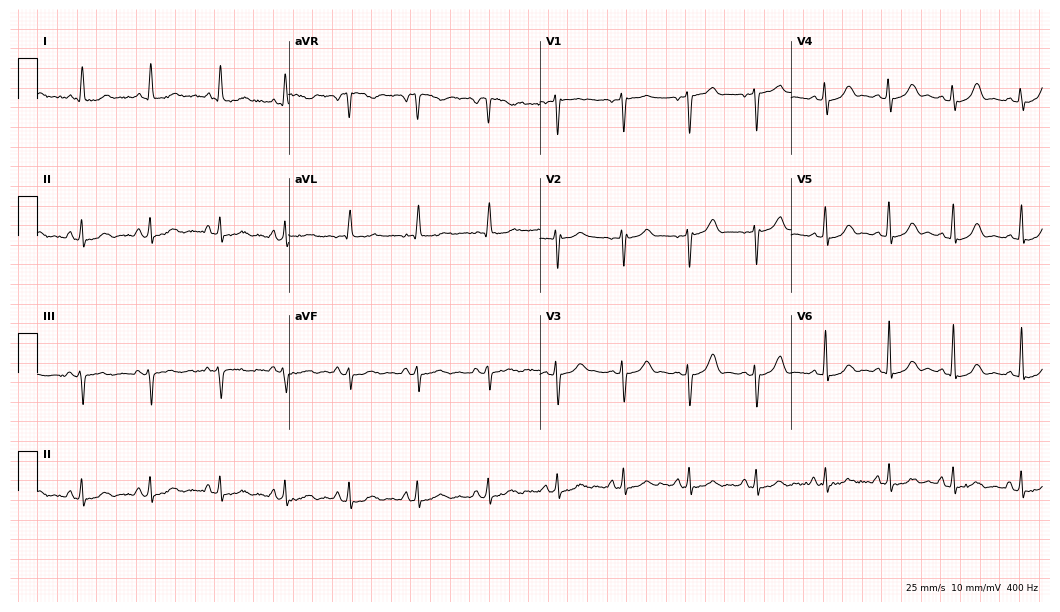
12-lead ECG from a woman, 54 years old. No first-degree AV block, right bundle branch block, left bundle branch block, sinus bradycardia, atrial fibrillation or sinus tachycardia recorded for this tracing. Findings outside these six are not listed.